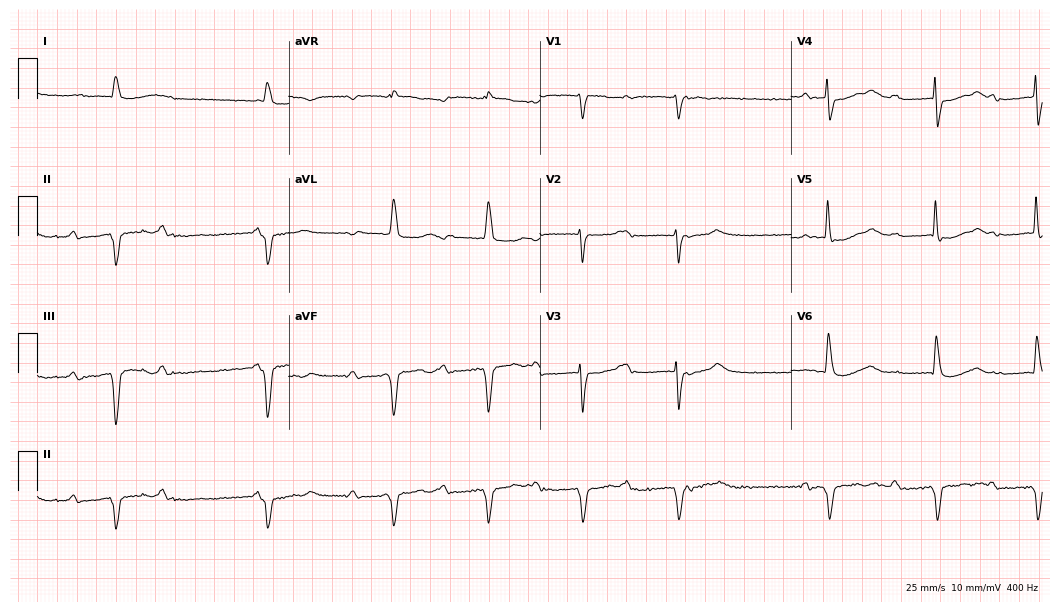
Electrocardiogram (10.2-second recording at 400 Hz), a male, 83 years old. Interpretation includes atrial fibrillation.